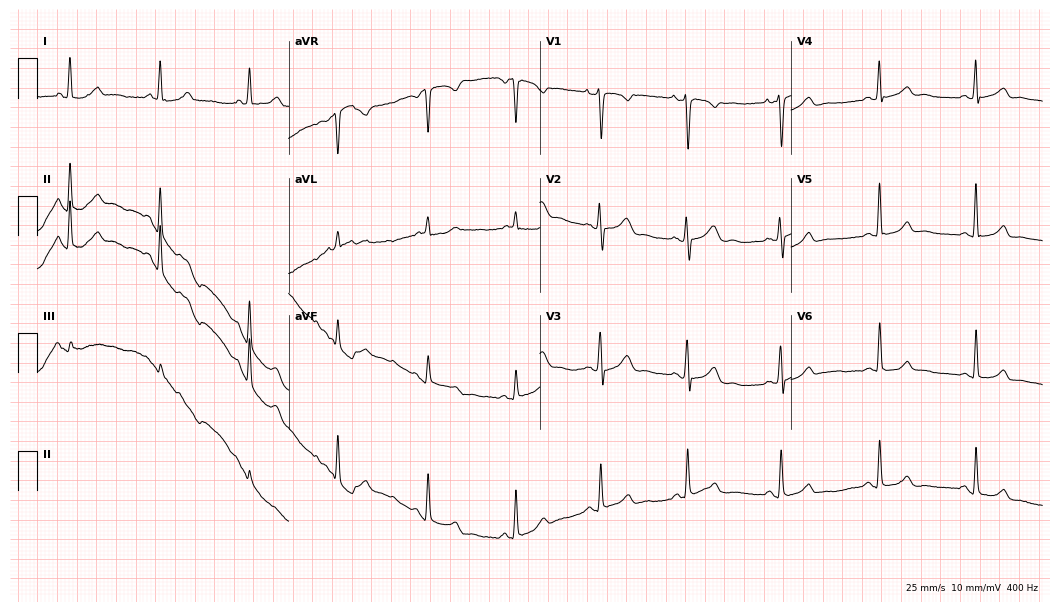
ECG — a female, 32 years old. Labelled as a normal ECG.